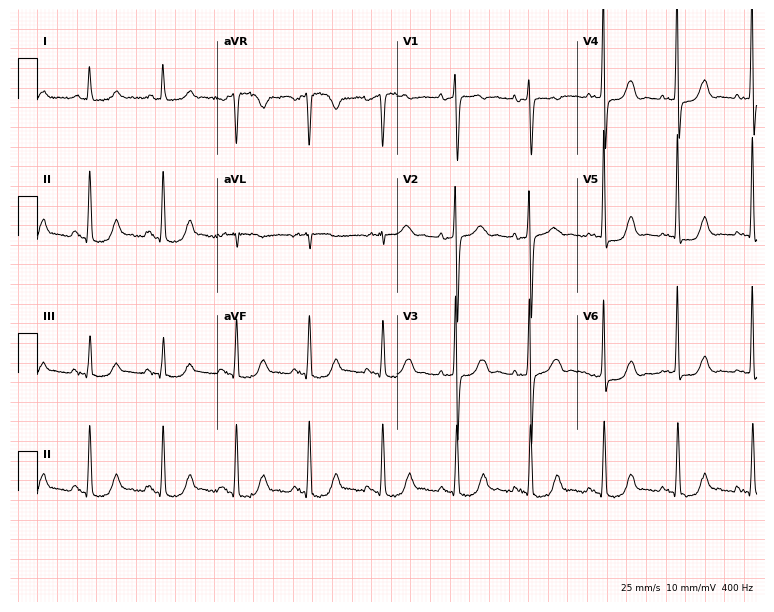
Standard 12-lead ECG recorded from an 82-year-old woman. None of these six findings is recorded: first-degree AV block, right bundle branch block (RBBB), left bundle branch block (LBBB), sinus bradycardia, atrial fibrillation (AF), sinus tachycardia. Findings outside these six are not listed.